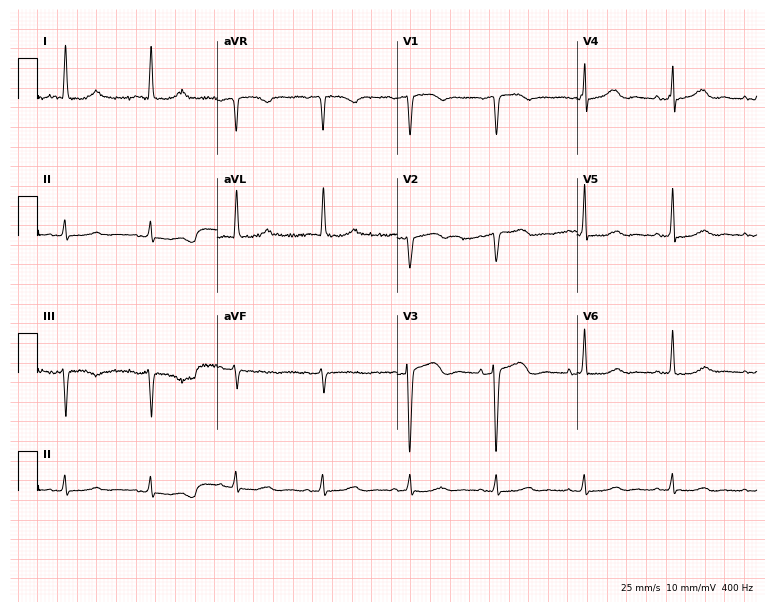
Standard 12-lead ECG recorded from an 83-year-old female patient. None of these six findings is recorded: first-degree AV block, right bundle branch block, left bundle branch block, sinus bradycardia, atrial fibrillation, sinus tachycardia.